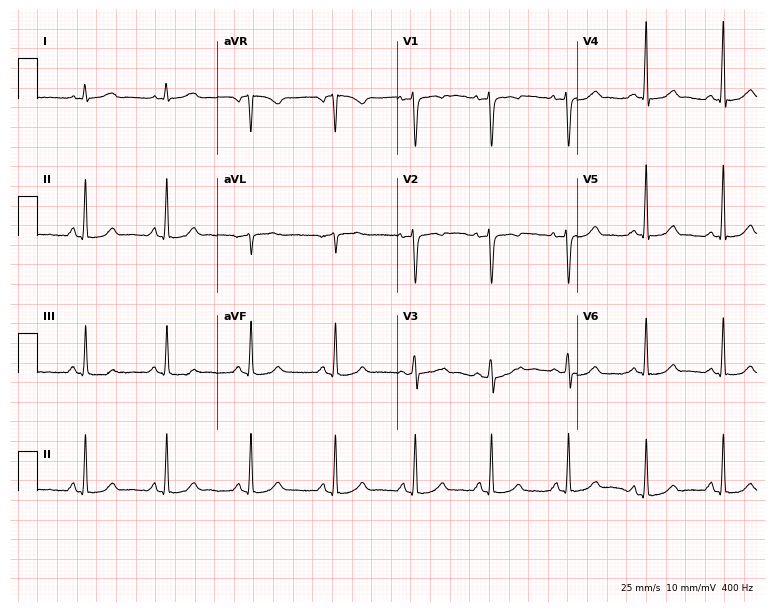
Electrocardiogram (7.3-second recording at 400 Hz), a woman, 32 years old. Of the six screened findings (first-degree AV block, right bundle branch block, left bundle branch block, sinus bradycardia, atrial fibrillation, sinus tachycardia), none is recorded.